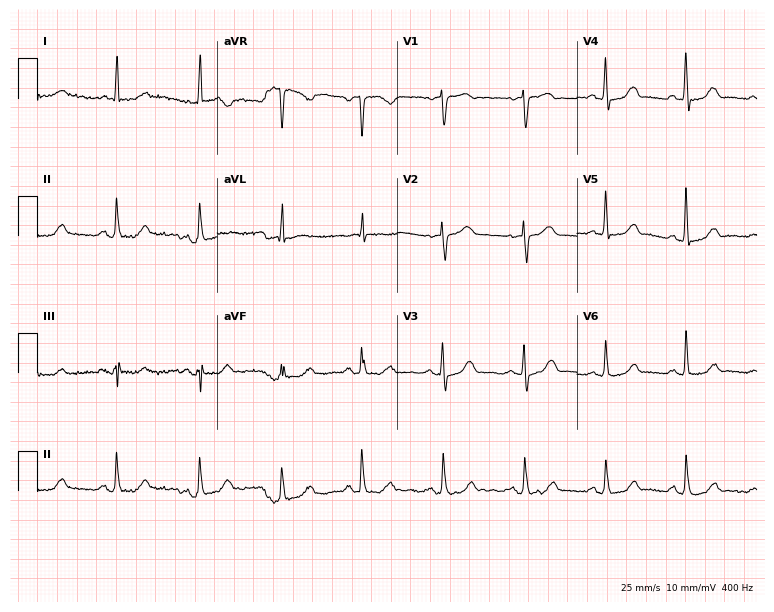
12-lead ECG from a female, 79 years old. Labelled as a normal ECG.